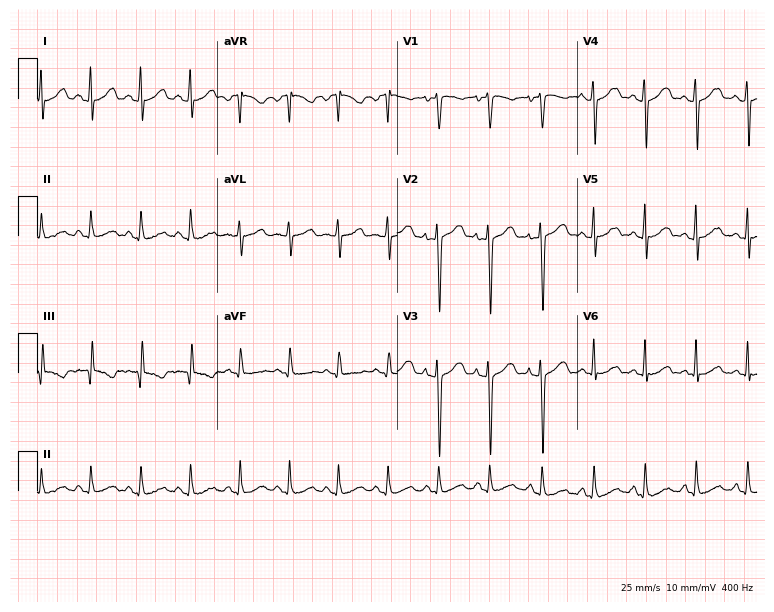
Standard 12-lead ECG recorded from a 17-year-old woman. The tracing shows sinus tachycardia (a sinus rate of 100 beats per minute or more).